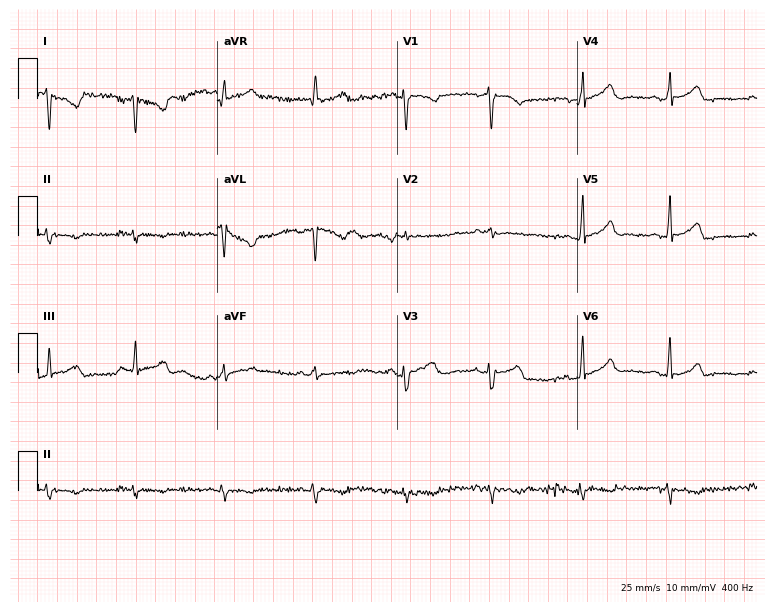
ECG — a female, 41 years old. Screened for six findings — first-degree AV block, right bundle branch block (RBBB), left bundle branch block (LBBB), sinus bradycardia, atrial fibrillation (AF), sinus tachycardia — none is recorded. Other findings, if any, are not listed.